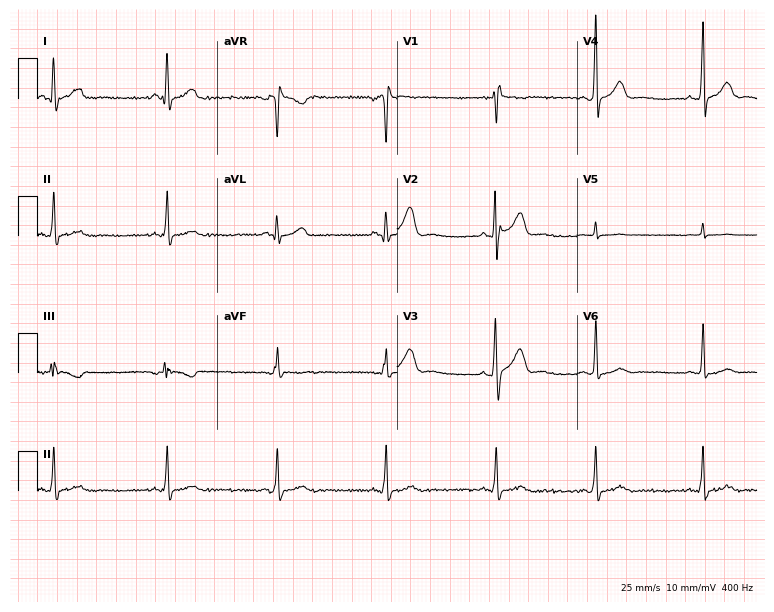
ECG — a man, 33 years old. Labelled as a normal ECG.